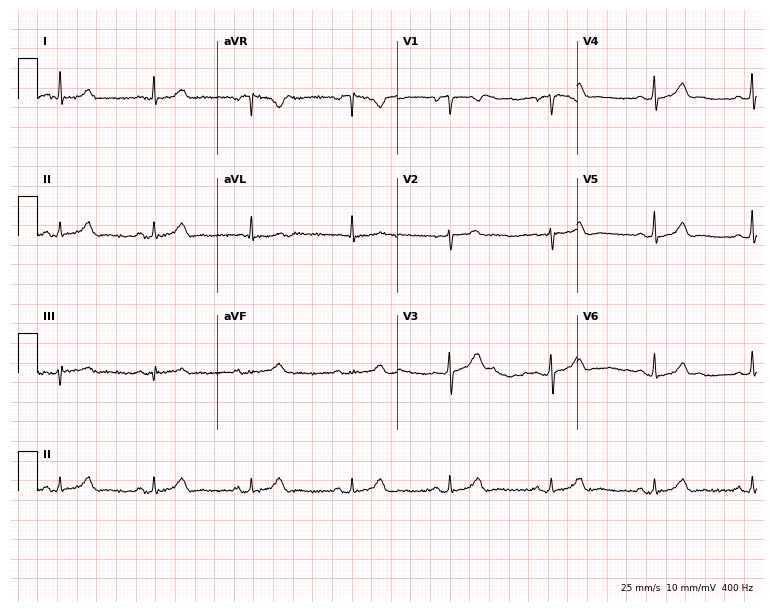
Resting 12-lead electrocardiogram (7.3-second recording at 400 Hz). Patient: a 41-year-old woman. Read as a normal ECG.